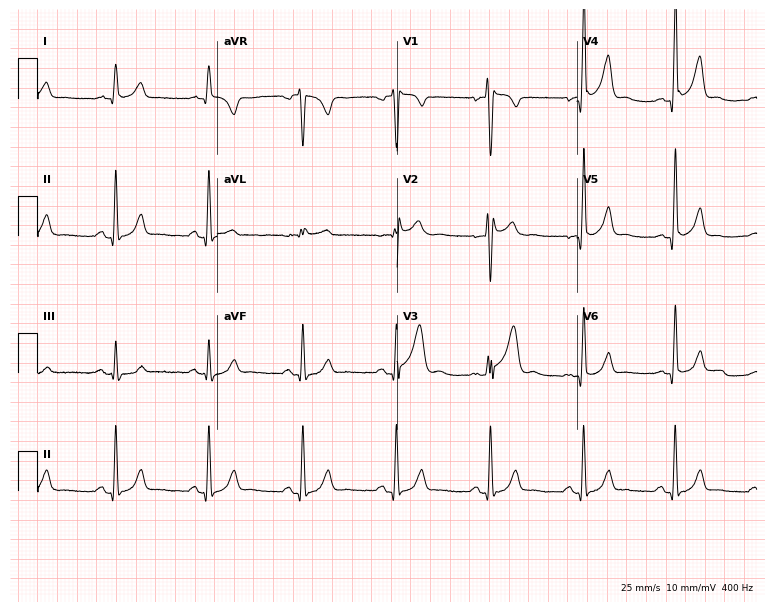
12-lead ECG (7.3-second recording at 400 Hz) from a male patient, 37 years old. Labelled as a normal ECG.